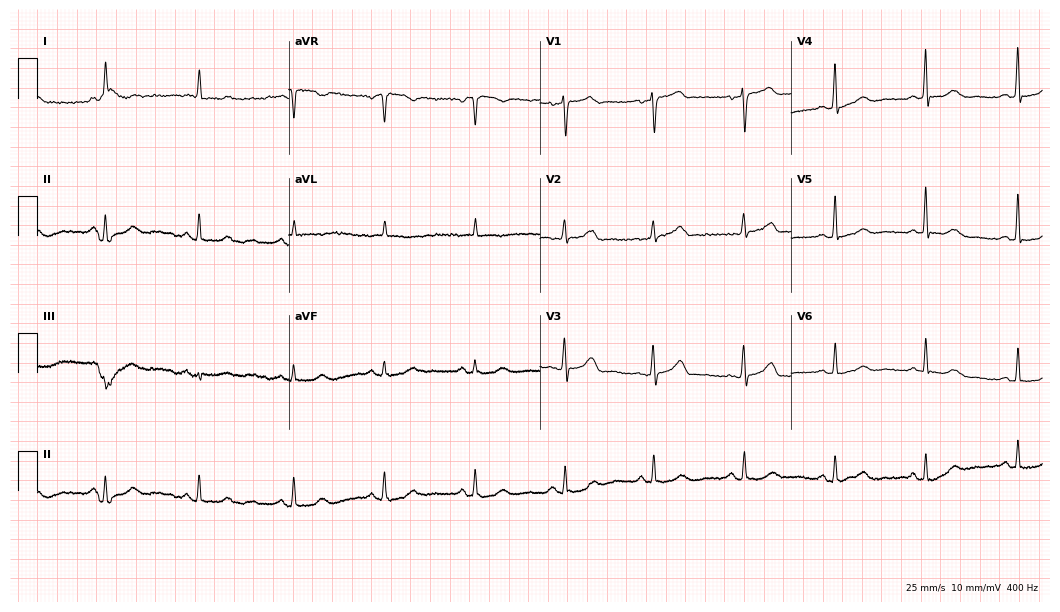
Standard 12-lead ECG recorded from a 61-year-old female patient (10.2-second recording at 400 Hz). None of these six findings is recorded: first-degree AV block, right bundle branch block (RBBB), left bundle branch block (LBBB), sinus bradycardia, atrial fibrillation (AF), sinus tachycardia. Only these six findings were labelled.